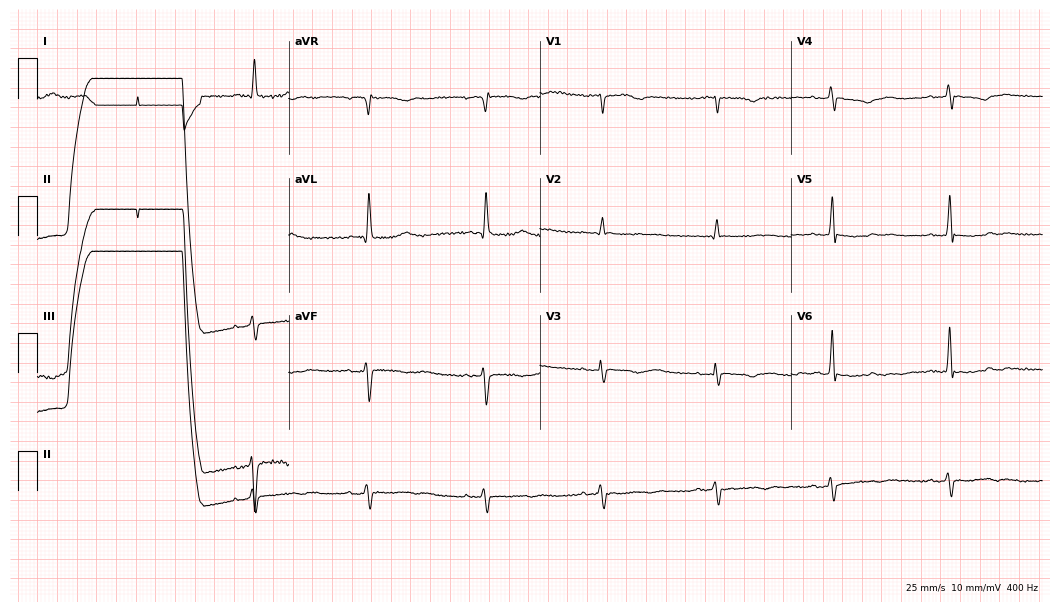
Resting 12-lead electrocardiogram (10.2-second recording at 400 Hz). Patient: a woman, 83 years old. Read as a normal ECG.